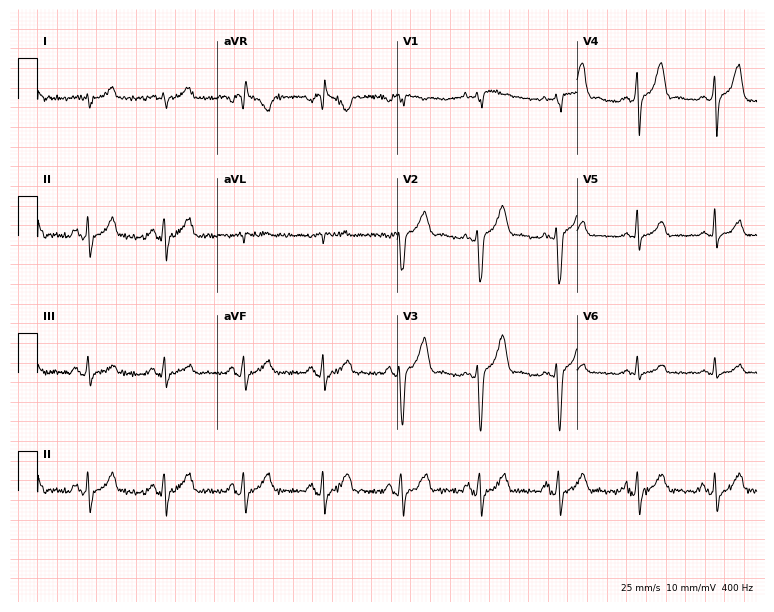
Resting 12-lead electrocardiogram. Patient: a male, 36 years old. None of these six findings is recorded: first-degree AV block, right bundle branch block (RBBB), left bundle branch block (LBBB), sinus bradycardia, atrial fibrillation (AF), sinus tachycardia. Other findings, if any, are not listed.